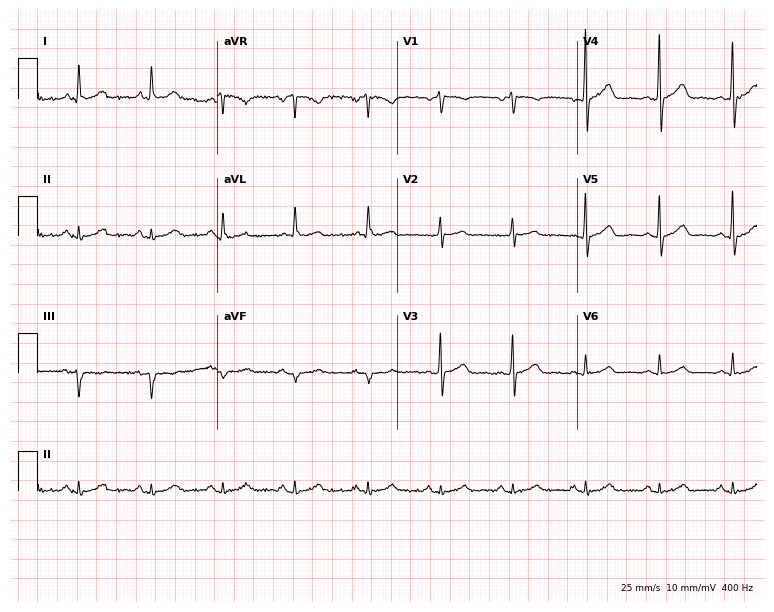
12-lead ECG (7.3-second recording at 400 Hz) from a 58-year-old man. Screened for six findings — first-degree AV block, right bundle branch block, left bundle branch block, sinus bradycardia, atrial fibrillation, sinus tachycardia — none is recorded. Only these six findings were labelled.